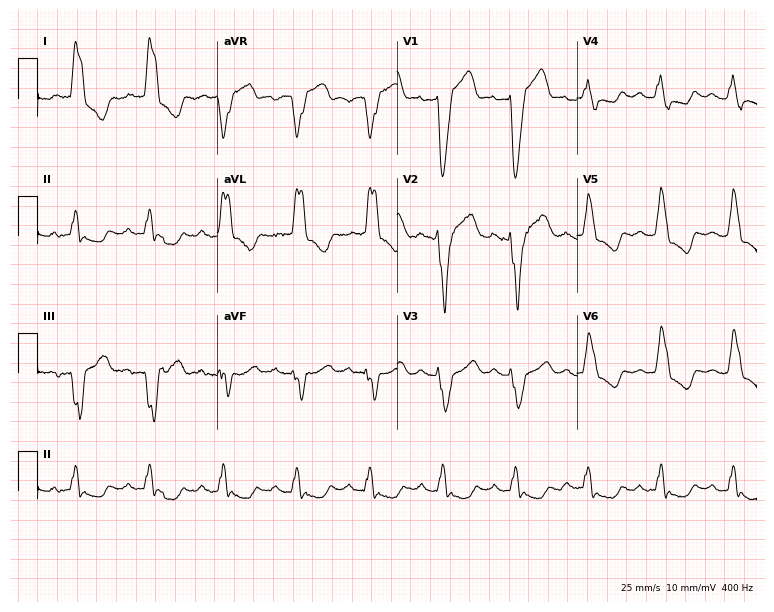
ECG (7.3-second recording at 400 Hz) — a 72-year-old female. Findings include first-degree AV block, left bundle branch block (LBBB).